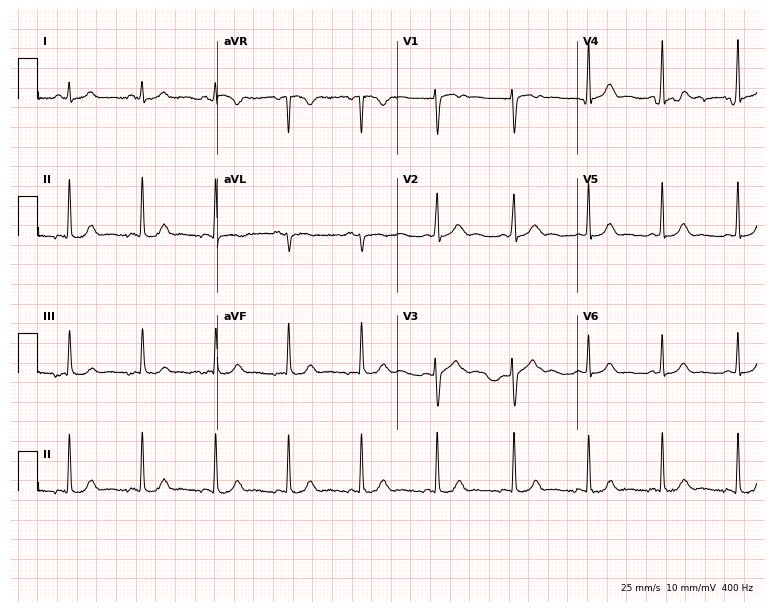
12-lead ECG from a 33-year-old female patient (7.3-second recording at 400 Hz). No first-degree AV block, right bundle branch block, left bundle branch block, sinus bradycardia, atrial fibrillation or sinus tachycardia recorded for this tracing. Findings outside these six are not listed.